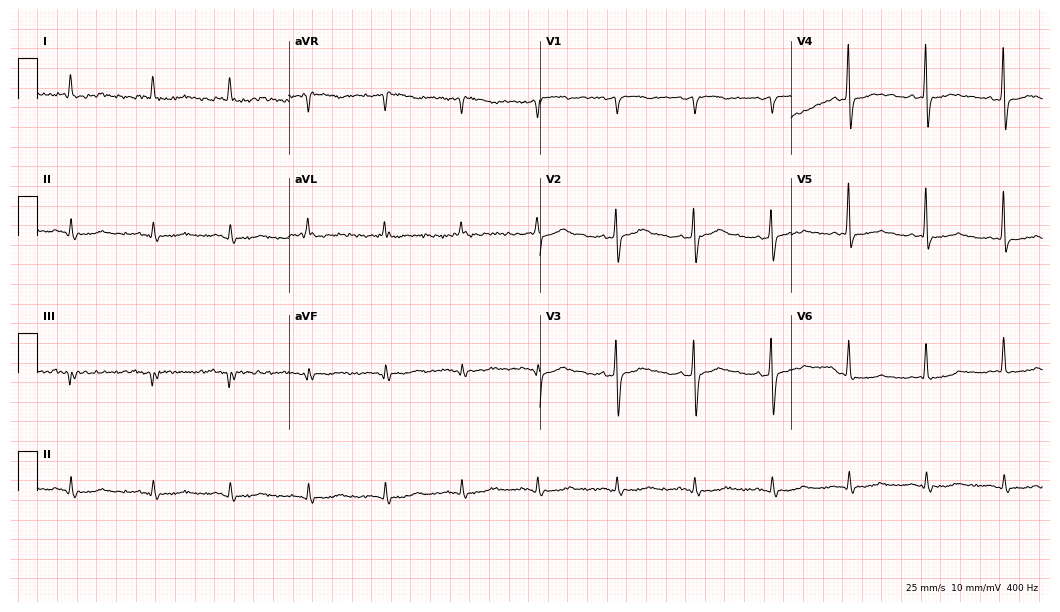
ECG (10.2-second recording at 400 Hz) — a male, 63 years old. Screened for six findings — first-degree AV block, right bundle branch block, left bundle branch block, sinus bradycardia, atrial fibrillation, sinus tachycardia — none is recorded.